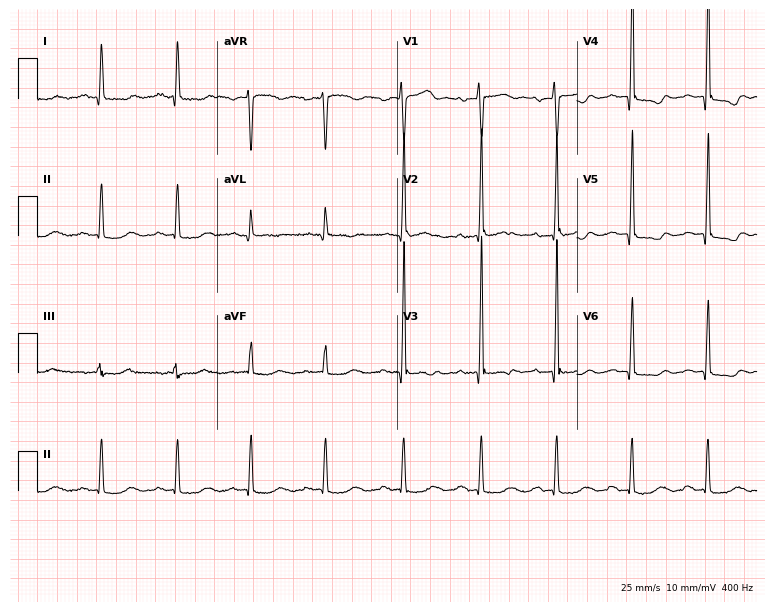
12-lead ECG from a 65-year-old man. No first-degree AV block, right bundle branch block, left bundle branch block, sinus bradycardia, atrial fibrillation or sinus tachycardia recorded for this tracing.